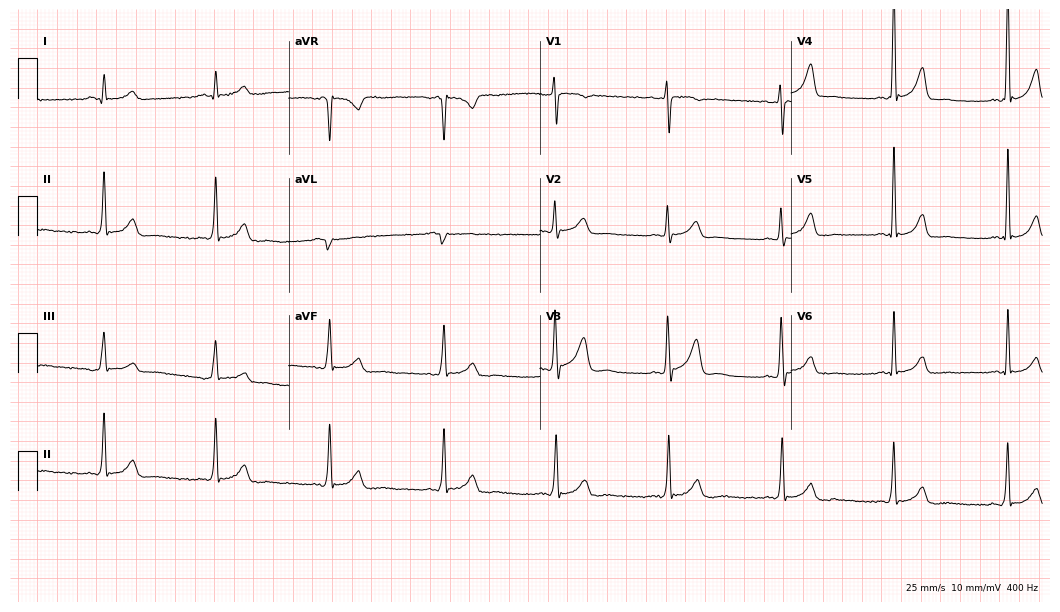
Electrocardiogram (10.2-second recording at 400 Hz), a 36-year-old male patient. Of the six screened findings (first-degree AV block, right bundle branch block (RBBB), left bundle branch block (LBBB), sinus bradycardia, atrial fibrillation (AF), sinus tachycardia), none is recorded. Findings outside these six are not listed.